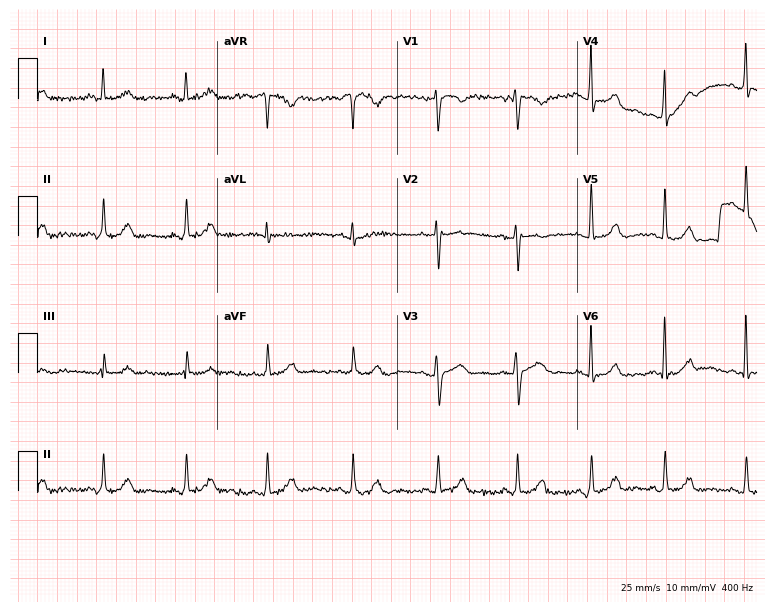
Electrocardiogram (7.3-second recording at 400 Hz), a female, 41 years old. Overall reading on record: normal ECG.